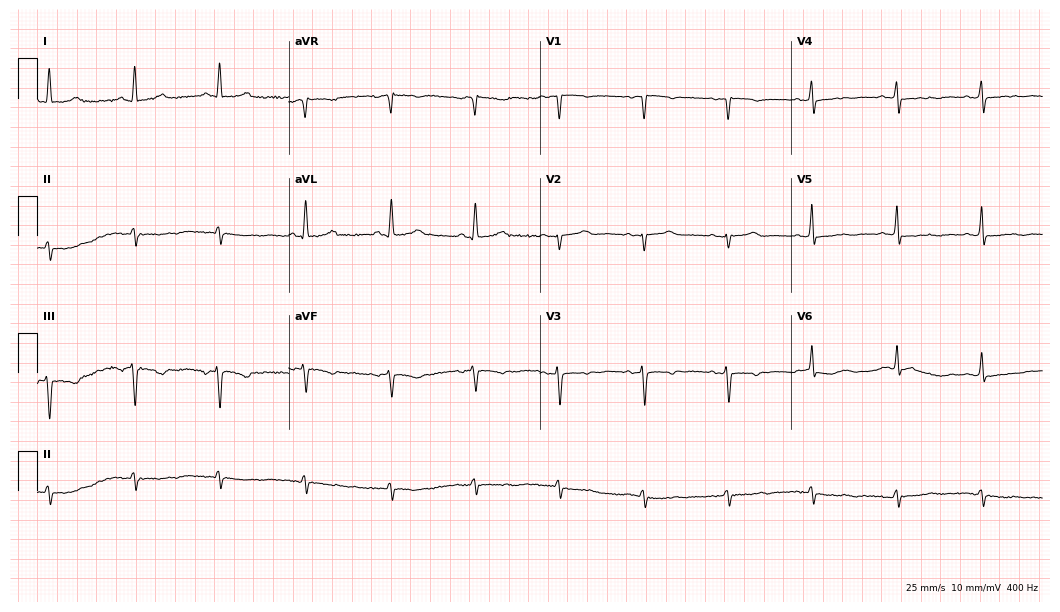
ECG — a 72-year-old woman. Screened for six findings — first-degree AV block, right bundle branch block, left bundle branch block, sinus bradycardia, atrial fibrillation, sinus tachycardia — none is recorded.